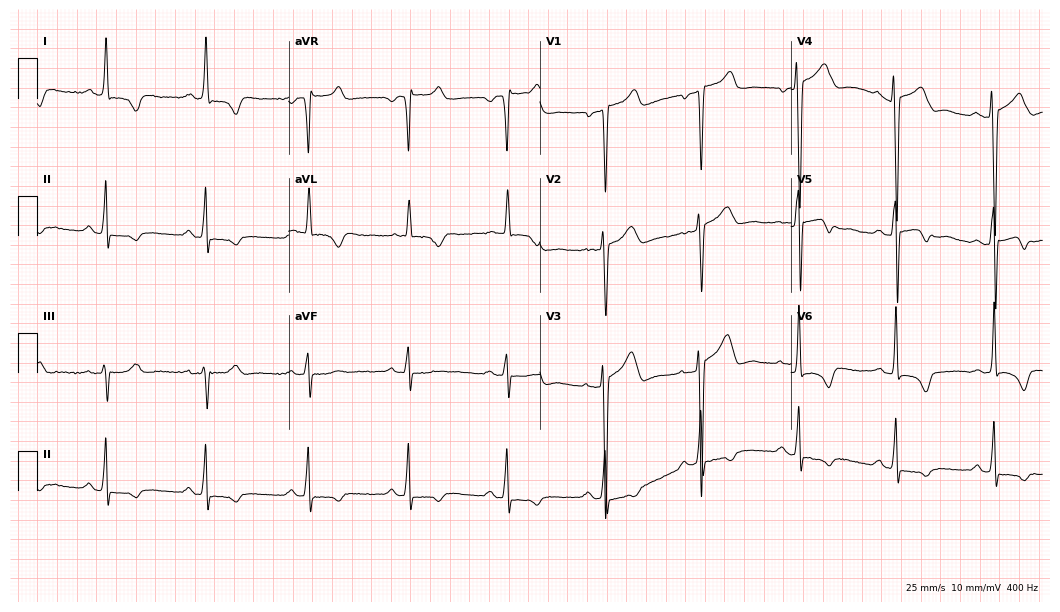
Resting 12-lead electrocardiogram (10.2-second recording at 400 Hz). Patient: a 57-year-old male. None of these six findings is recorded: first-degree AV block, right bundle branch block, left bundle branch block, sinus bradycardia, atrial fibrillation, sinus tachycardia. Other findings, if any, are not listed.